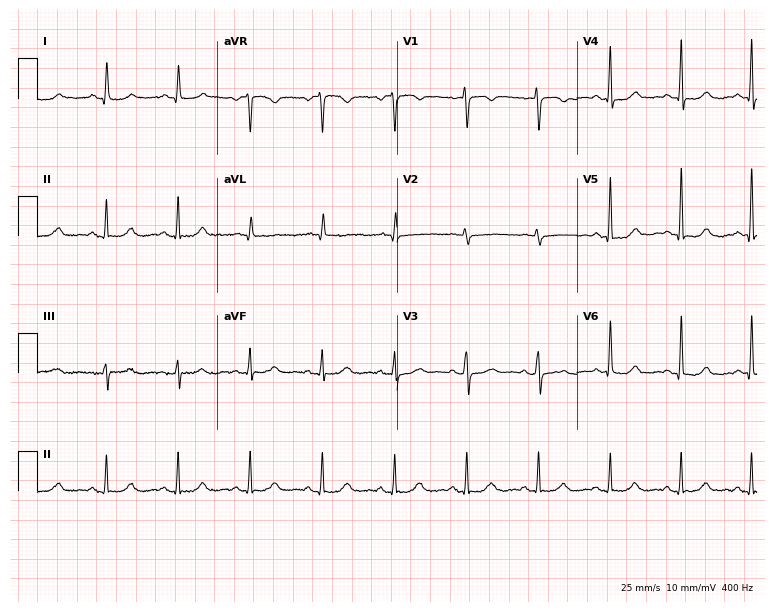
12-lead ECG from a female, 65 years old (7.3-second recording at 400 Hz). Recorded interpretation: within normal limits.